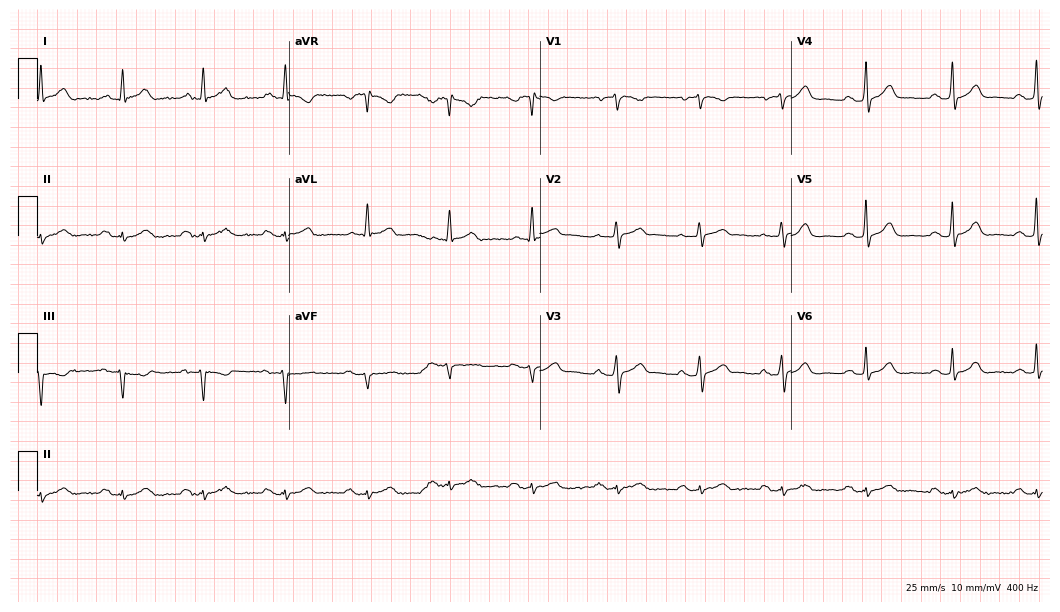
Electrocardiogram, a 72-year-old male. Overall reading on record: normal ECG.